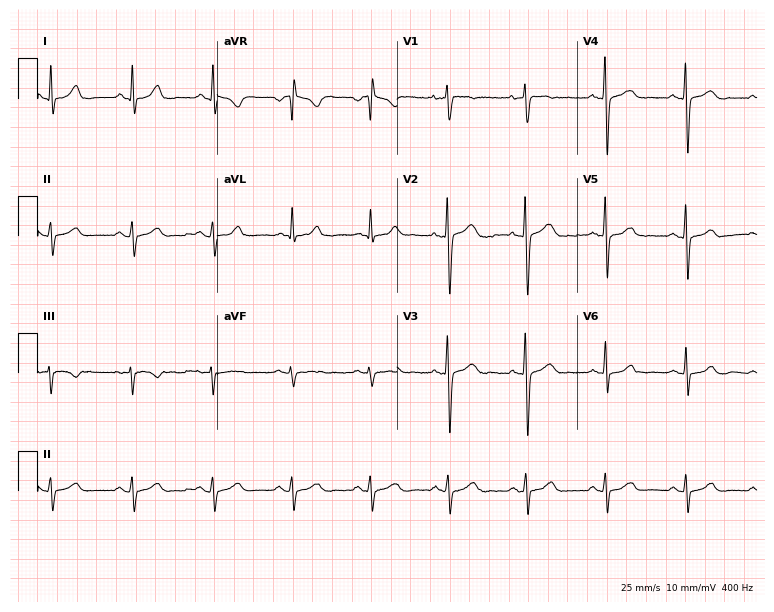
Standard 12-lead ECG recorded from a 30-year-old male (7.3-second recording at 400 Hz). Read as a normal ECG.